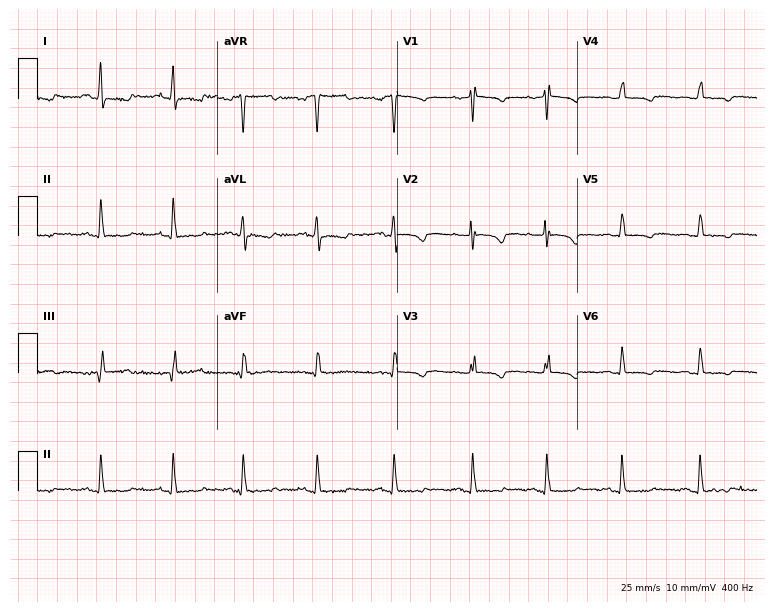
Standard 12-lead ECG recorded from a 23-year-old woman (7.3-second recording at 400 Hz). None of these six findings is recorded: first-degree AV block, right bundle branch block (RBBB), left bundle branch block (LBBB), sinus bradycardia, atrial fibrillation (AF), sinus tachycardia.